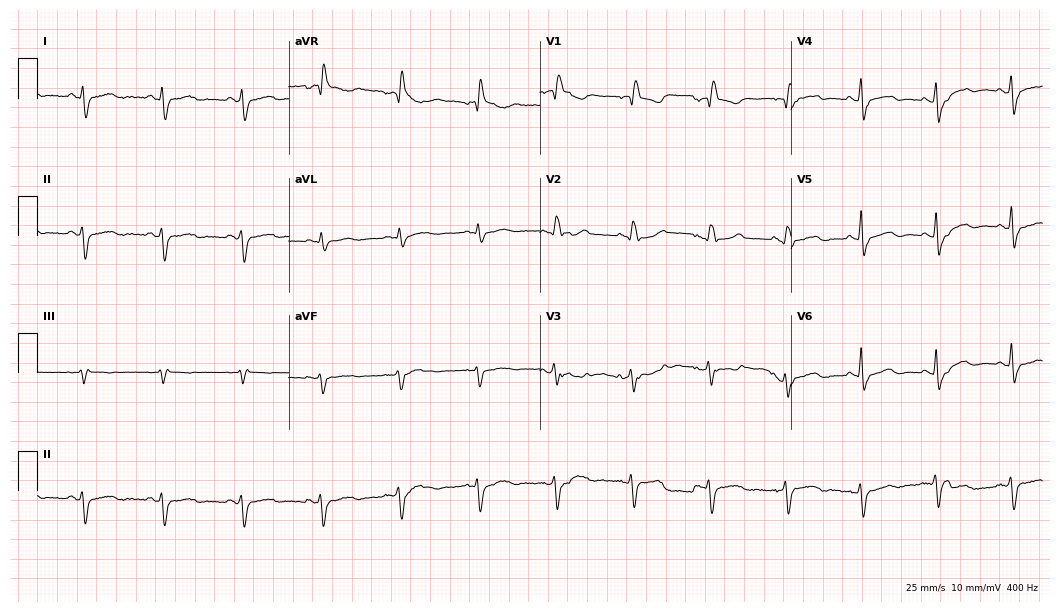
12-lead ECG from a female patient, 83 years old. No first-degree AV block, right bundle branch block, left bundle branch block, sinus bradycardia, atrial fibrillation or sinus tachycardia recorded for this tracing. Only these six findings were labelled.